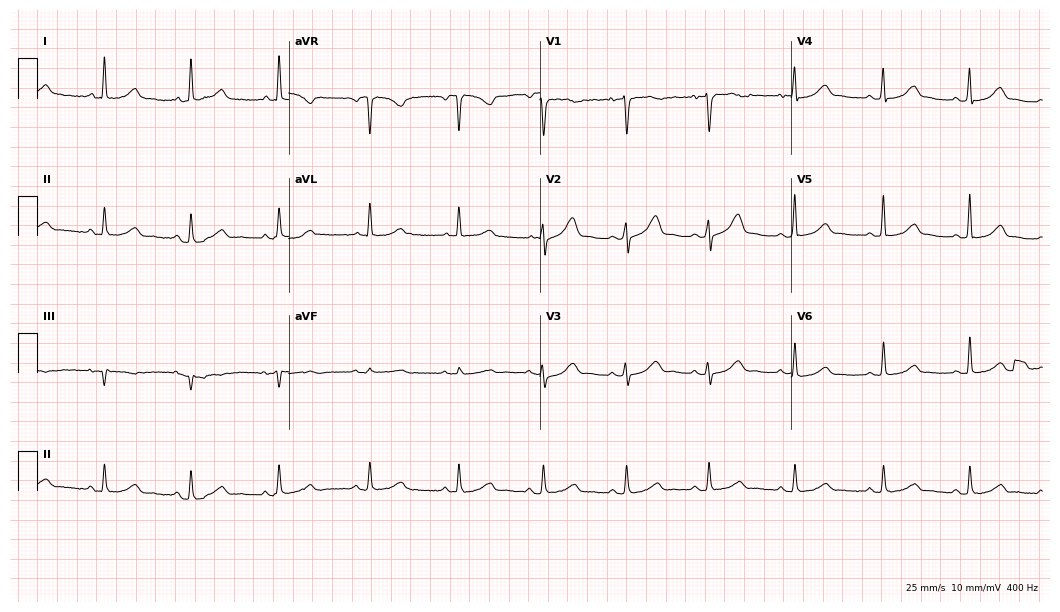
Resting 12-lead electrocardiogram (10.2-second recording at 400 Hz). Patient: a 58-year-old female. Read as a normal ECG.